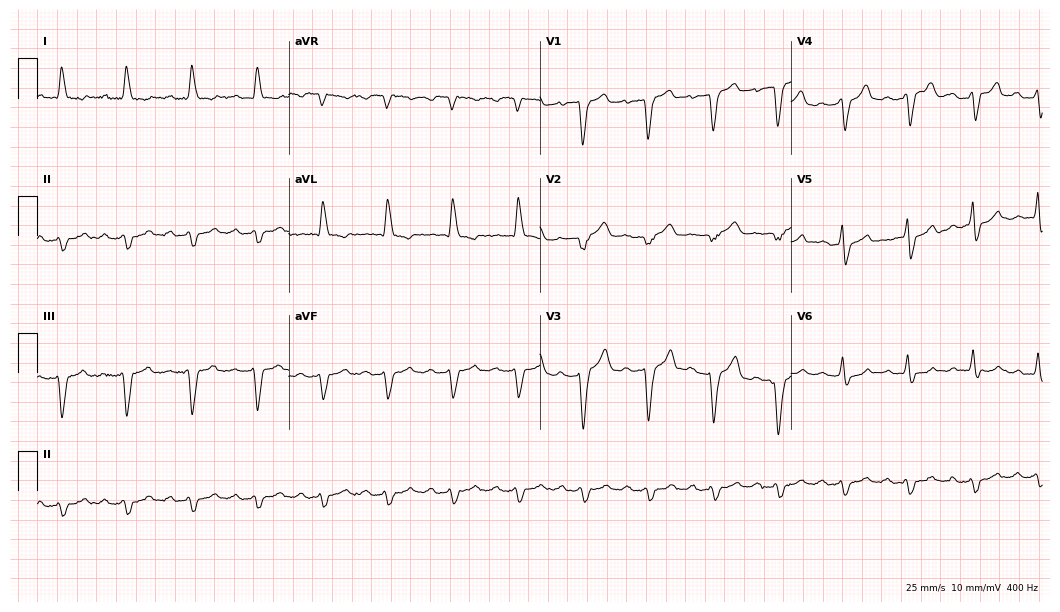
ECG (10.2-second recording at 400 Hz) — a male patient, 78 years old. Findings include left bundle branch block.